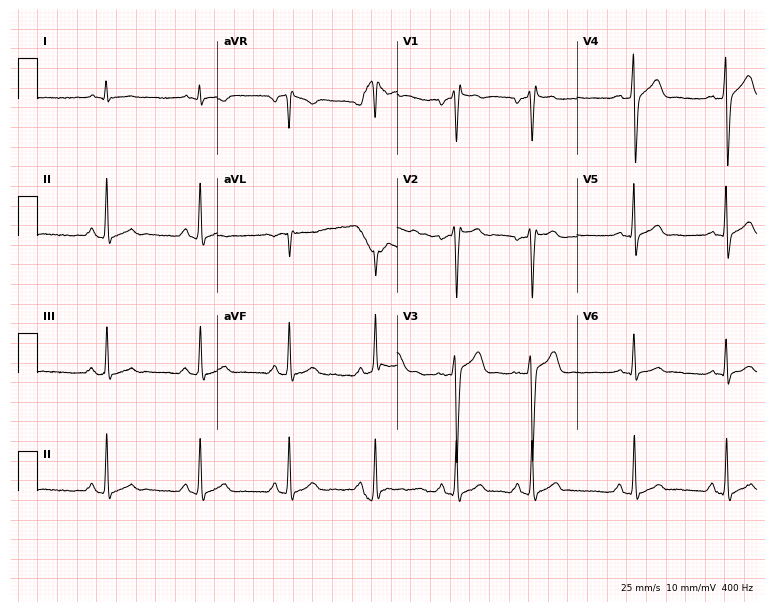
12-lead ECG from a 31-year-old male patient (7.3-second recording at 400 Hz). No first-degree AV block, right bundle branch block (RBBB), left bundle branch block (LBBB), sinus bradycardia, atrial fibrillation (AF) or sinus tachycardia recorded for this tracing. Other findings, if any, are not listed.